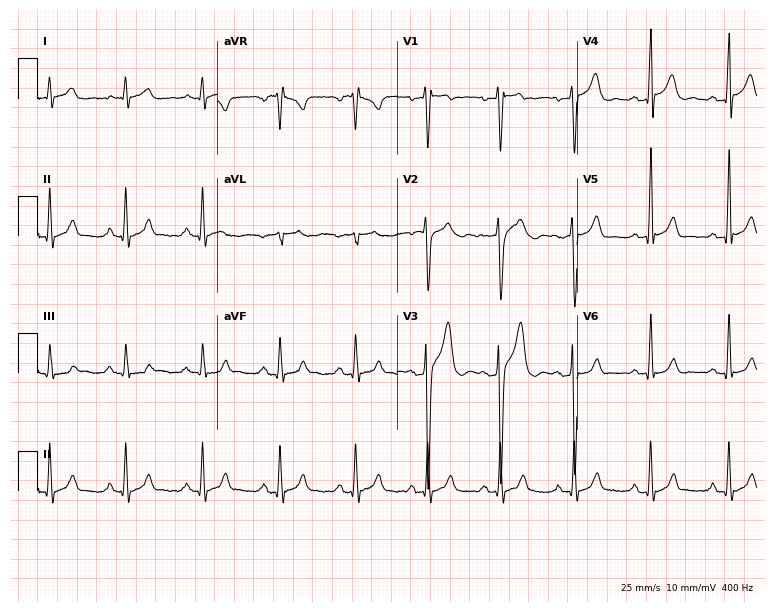
Resting 12-lead electrocardiogram (7.3-second recording at 400 Hz). Patient: a 23-year-old male. None of these six findings is recorded: first-degree AV block, right bundle branch block, left bundle branch block, sinus bradycardia, atrial fibrillation, sinus tachycardia. Only these six findings were labelled.